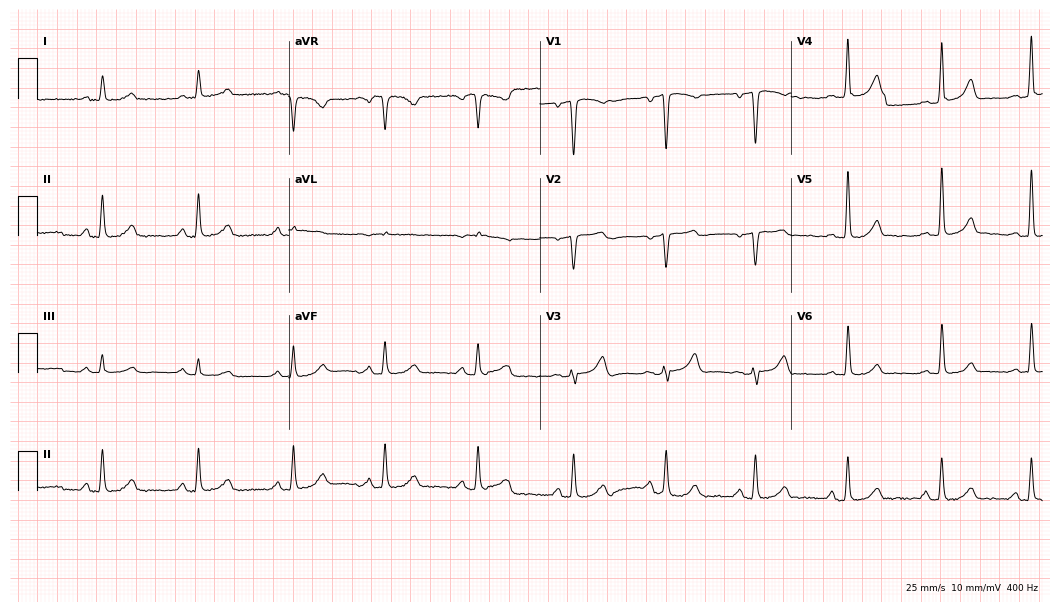
12-lead ECG from a woman, 50 years old (10.2-second recording at 400 Hz). No first-degree AV block, right bundle branch block (RBBB), left bundle branch block (LBBB), sinus bradycardia, atrial fibrillation (AF) or sinus tachycardia recorded for this tracing.